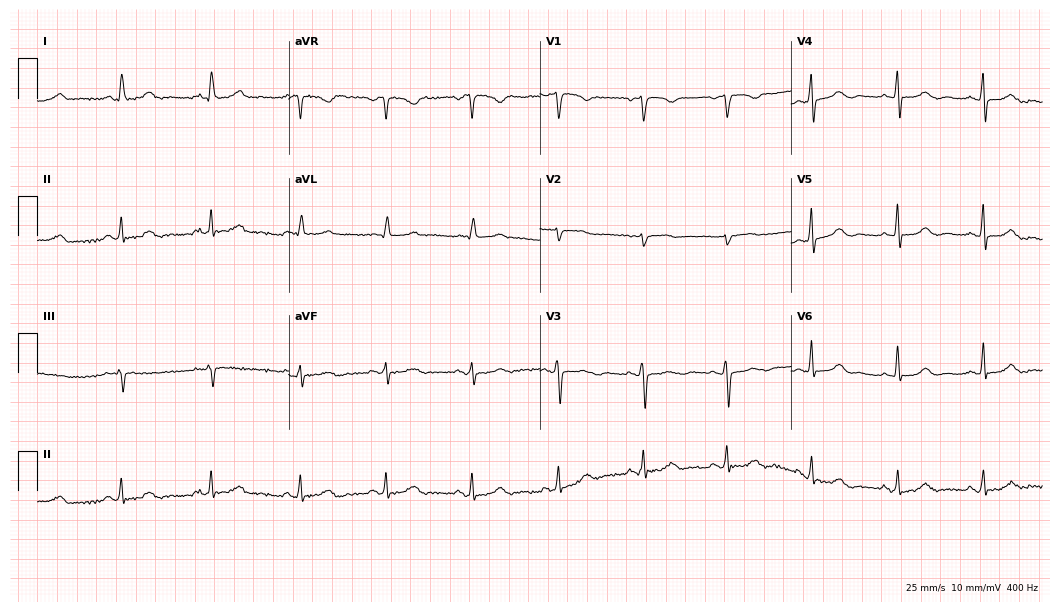
12-lead ECG from a 72-year-old female patient. Screened for six findings — first-degree AV block, right bundle branch block, left bundle branch block, sinus bradycardia, atrial fibrillation, sinus tachycardia — none is recorded. Only these six findings were labelled.